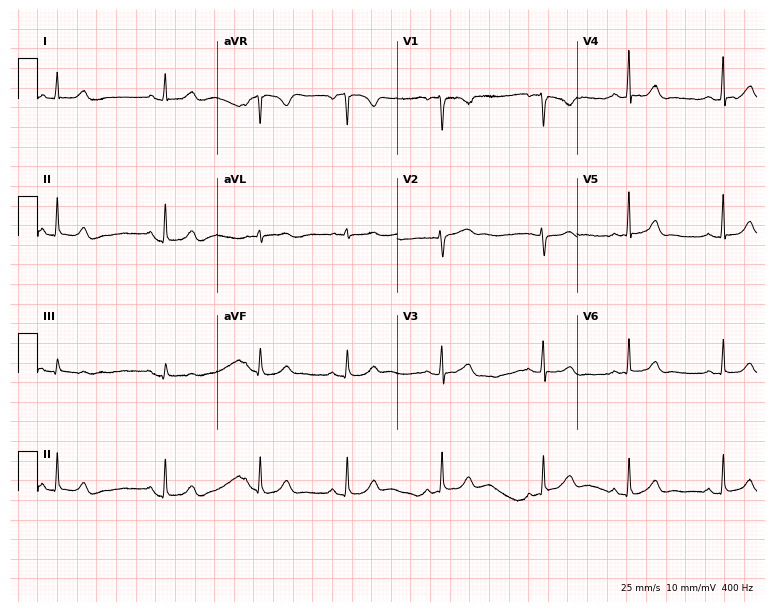
12-lead ECG from a woman, 23 years old. Recorded interpretation: within normal limits.